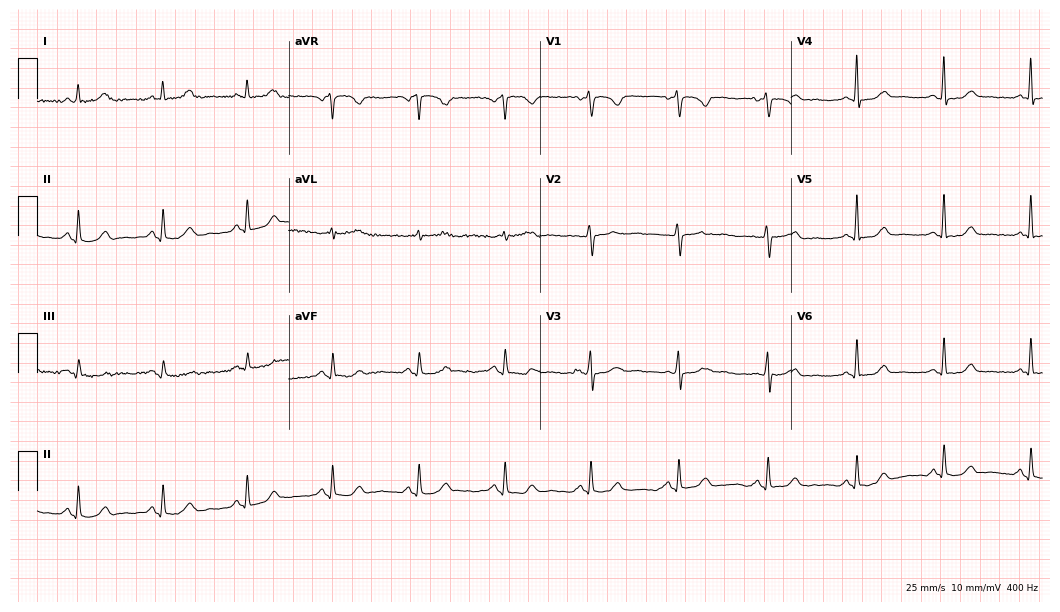
Resting 12-lead electrocardiogram. Patient: a woman, 40 years old. Read as a normal ECG.